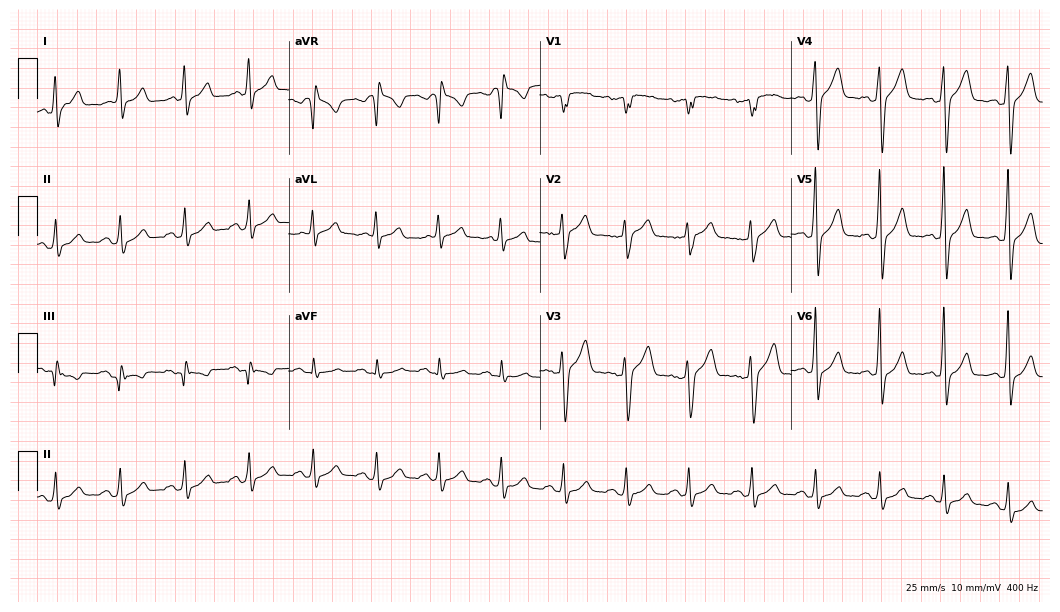
12-lead ECG from a 63-year-old male patient. Screened for six findings — first-degree AV block, right bundle branch block, left bundle branch block, sinus bradycardia, atrial fibrillation, sinus tachycardia — none is recorded. Only these six findings were labelled.